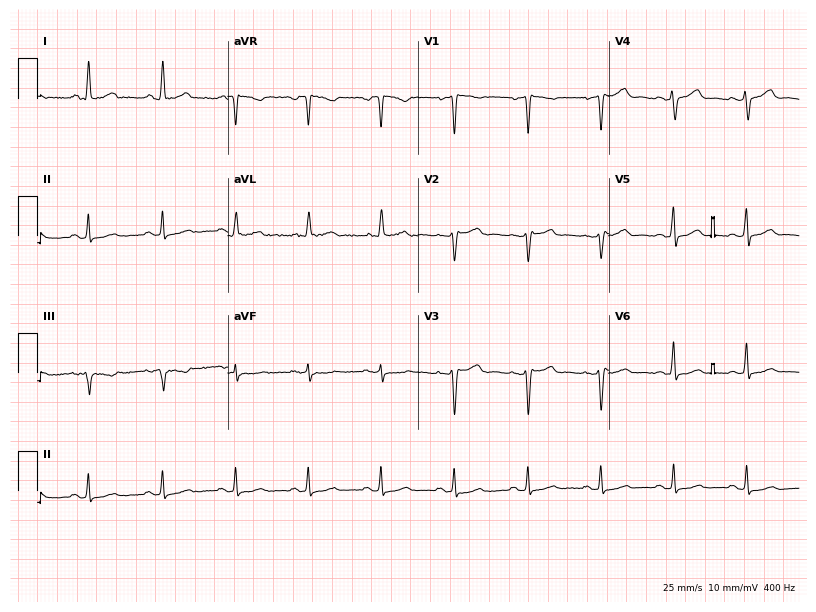
Standard 12-lead ECG recorded from a 43-year-old female (7.8-second recording at 400 Hz). None of these six findings is recorded: first-degree AV block, right bundle branch block (RBBB), left bundle branch block (LBBB), sinus bradycardia, atrial fibrillation (AF), sinus tachycardia.